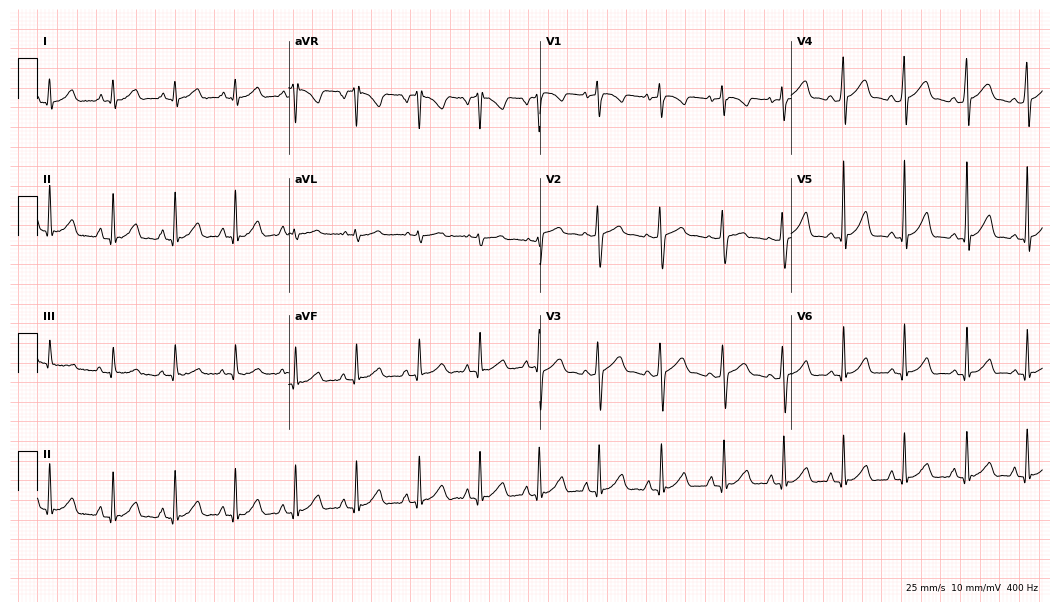
12-lead ECG (10.2-second recording at 400 Hz) from a female, 23 years old. Labelled as a normal ECG.